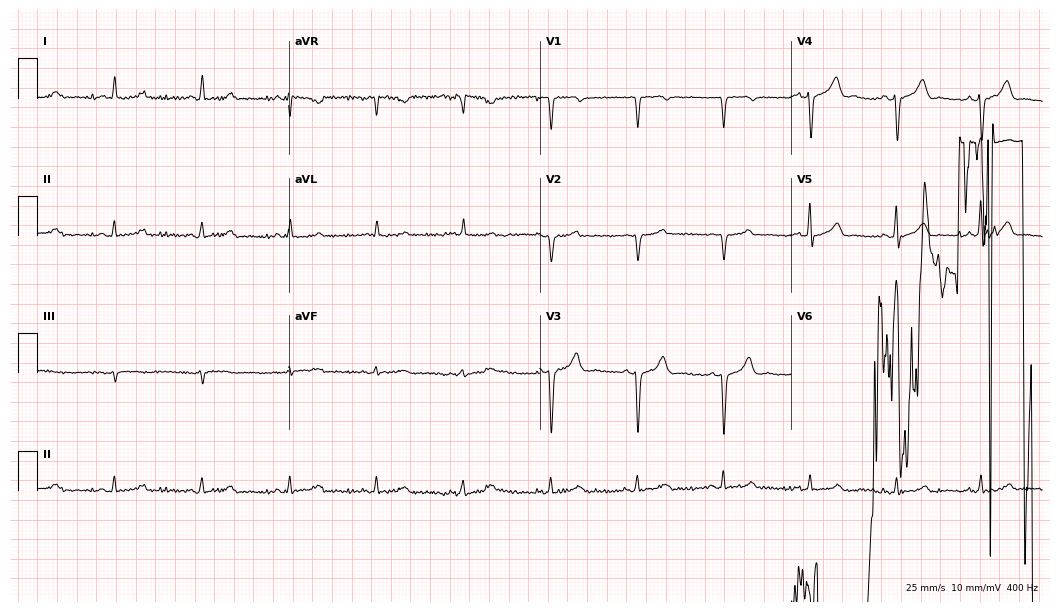
ECG (10.2-second recording at 400 Hz) — a female, 65 years old. Screened for six findings — first-degree AV block, right bundle branch block, left bundle branch block, sinus bradycardia, atrial fibrillation, sinus tachycardia — none is recorded.